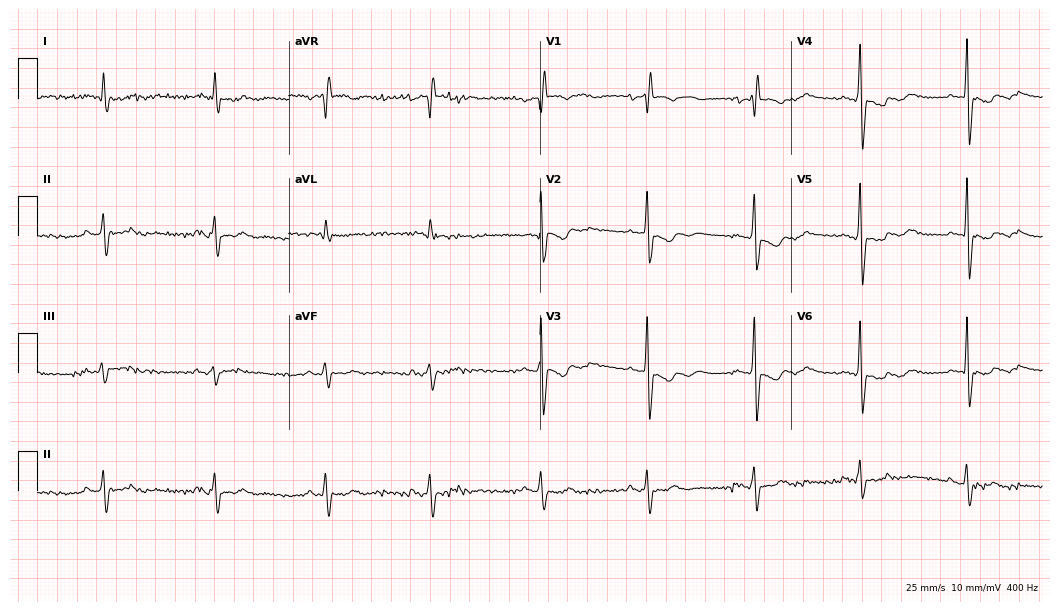
Standard 12-lead ECG recorded from a female patient, 58 years old (10.2-second recording at 400 Hz). None of these six findings is recorded: first-degree AV block, right bundle branch block, left bundle branch block, sinus bradycardia, atrial fibrillation, sinus tachycardia. Only these six findings were labelled.